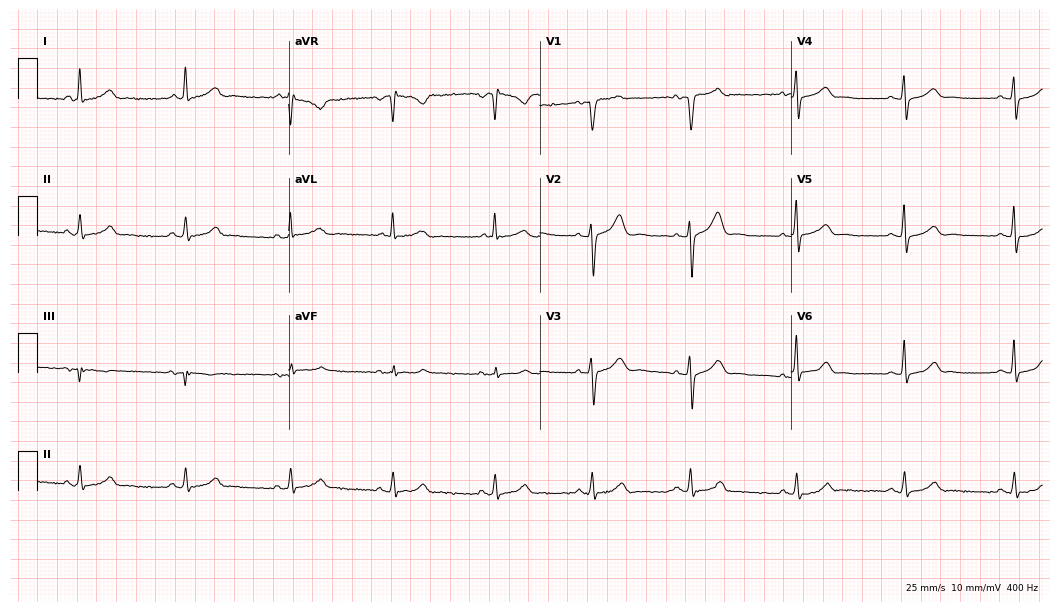
12-lead ECG from a male patient, 58 years old. Labelled as a normal ECG.